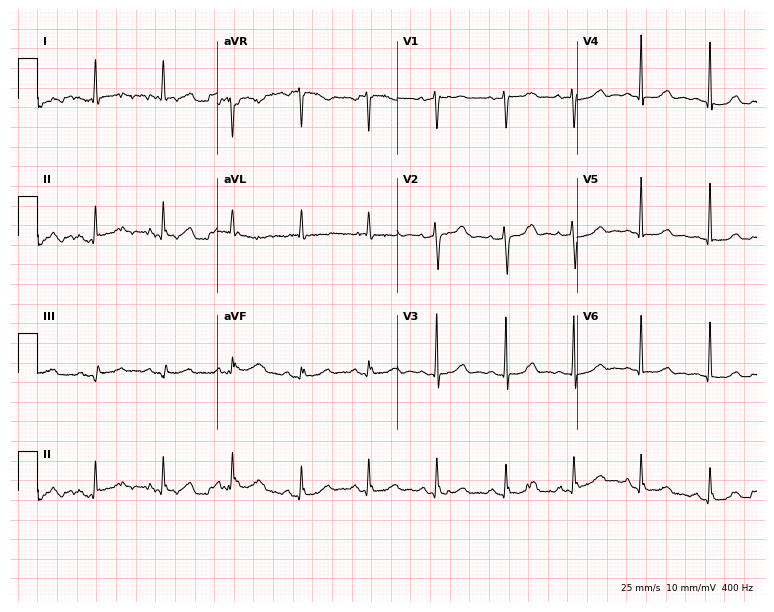
ECG — a 73-year-old female patient. Screened for six findings — first-degree AV block, right bundle branch block, left bundle branch block, sinus bradycardia, atrial fibrillation, sinus tachycardia — none is recorded.